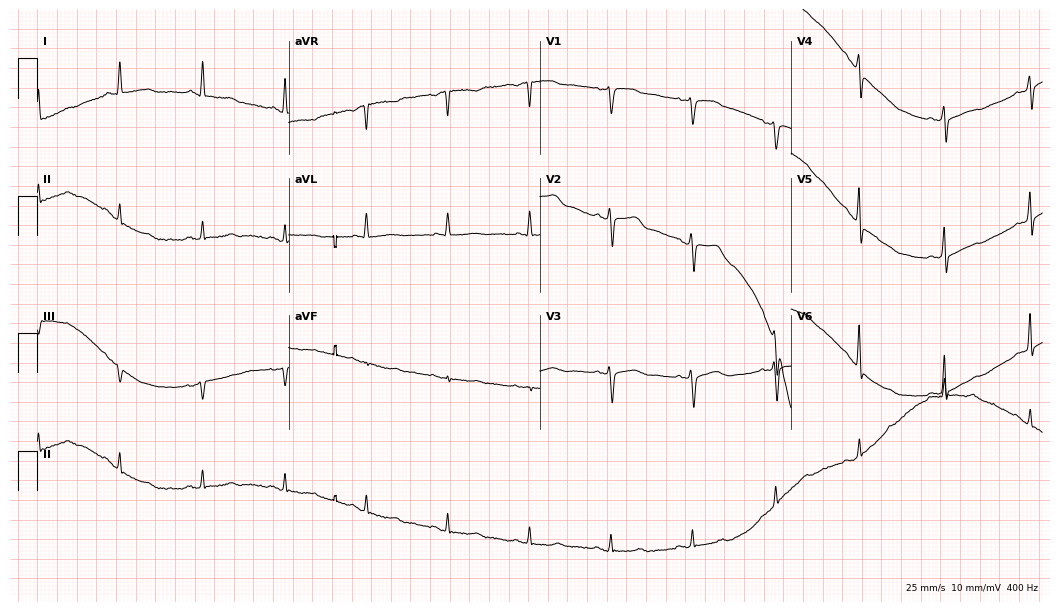
ECG — a 51-year-old woman. Labelled as a normal ECG.